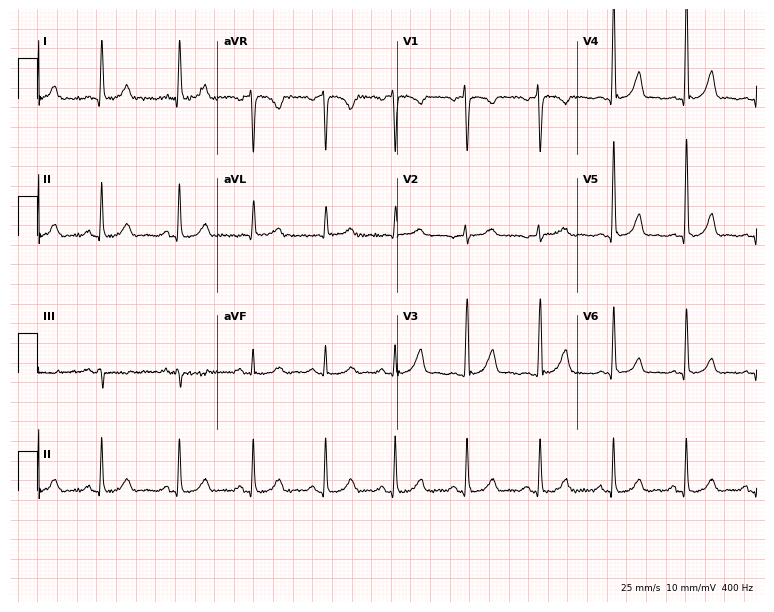
12-lead ECG (7.3-second recording at 400 Hz) from a 46-year-old female. Labelled as a normal ECG.